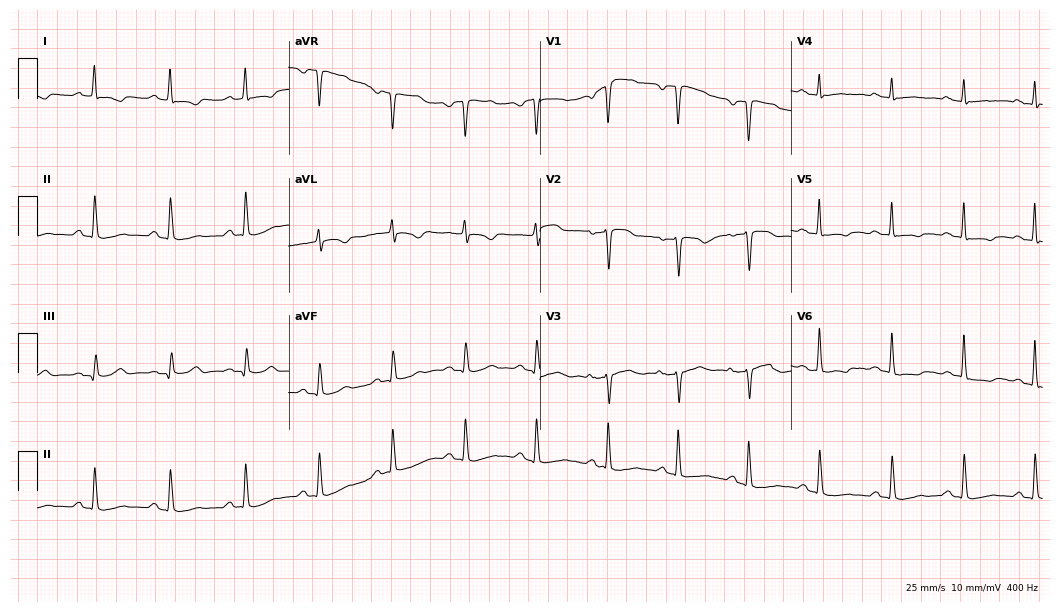
12-lead ECG (10.2-second recording at 400 Hz) from a 63-year-old man. Screened for six findings — first-degree AV block, right bundle branch block, left bundle branch block, sinus bradycardia, atrial fibrillation, sinus tachycardia — none is recorded.